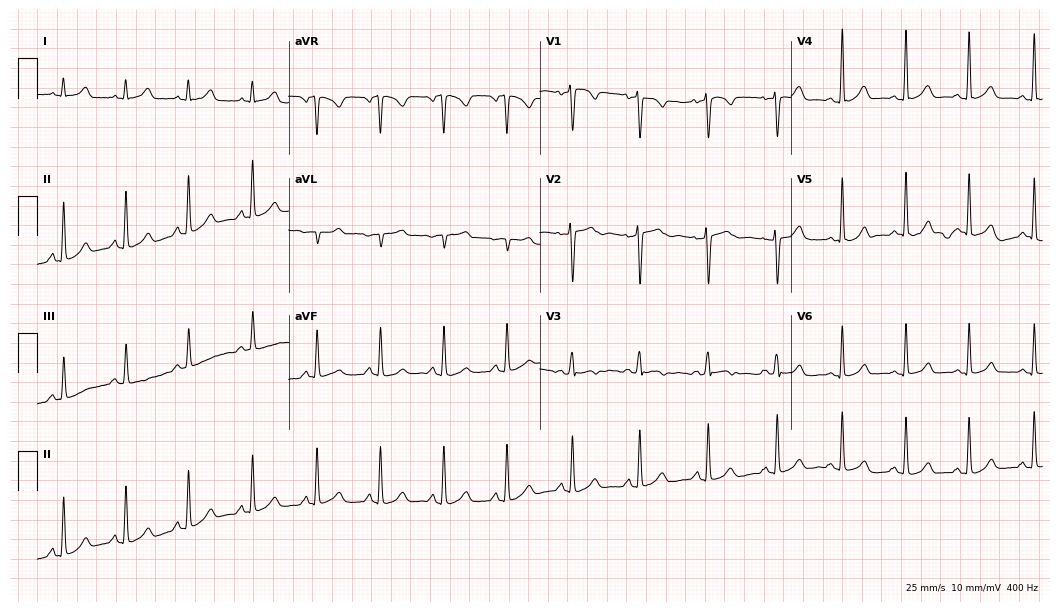
Standard 12-lead ECG recorded from a woman, 28 years old. Read as a normal ECG.